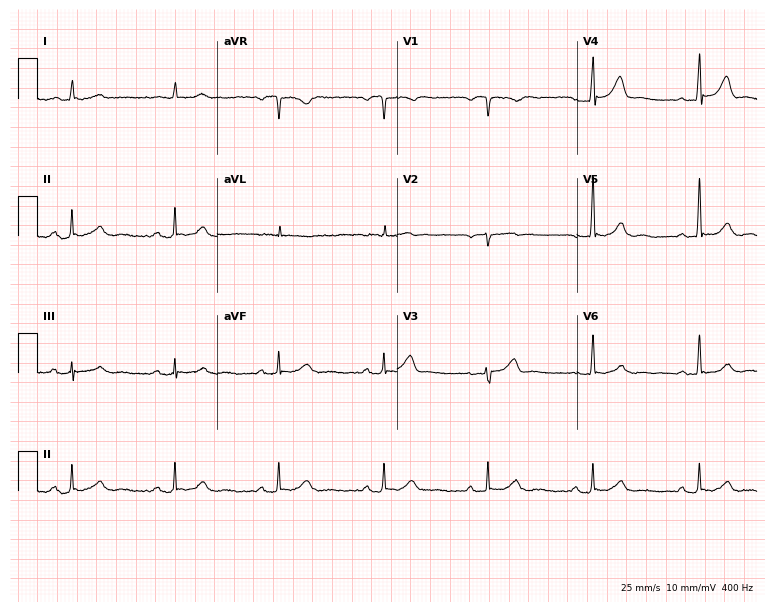
Resting 12-lead electrocardiogram. Patient: a 78-year-old male. Read as a normal ECG.